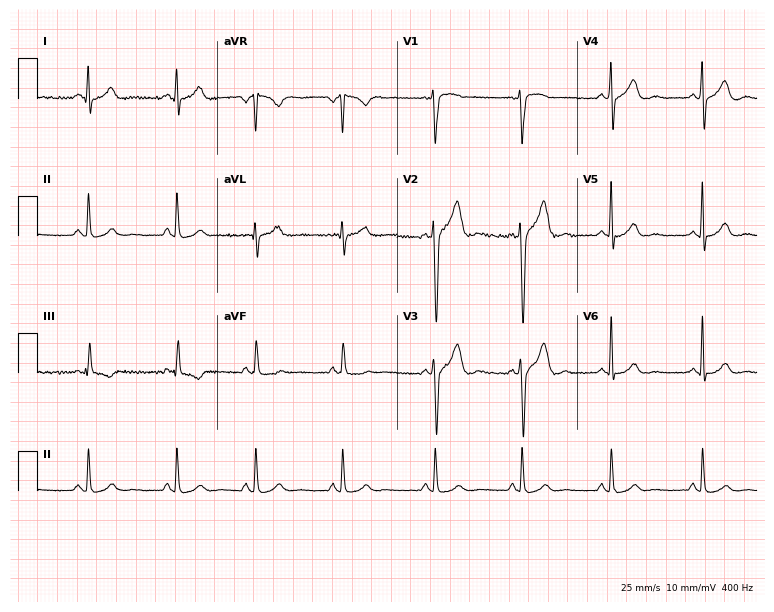
Electrocardiogram, a 35-year-old male patient. Overall reading on record: normal ECG.